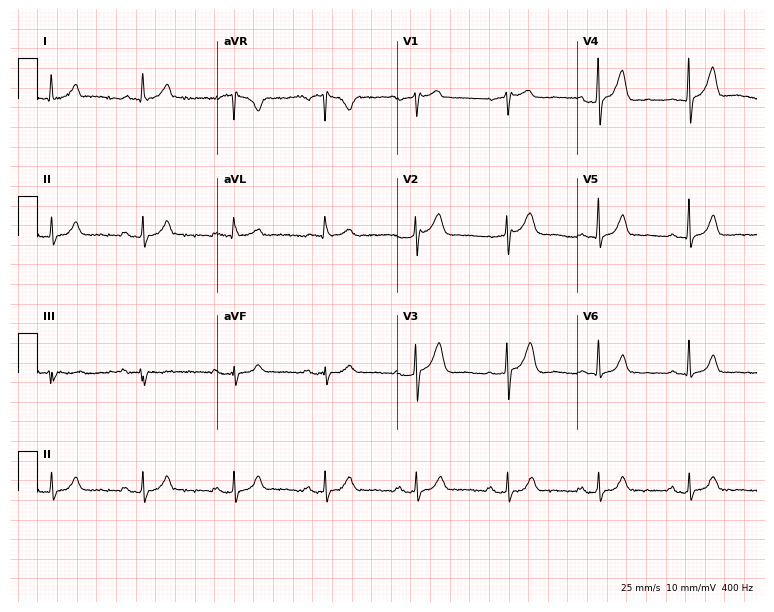
Standard 12-lead ECG recorded from a woman, 68 years old. None of these six findings is recorded: first-degree AV block, right bundle branch block (RBBB), left bundle branch block (LBBB), sinus bradycardia, atrial fibrillation (AF), sinus tachycardia.